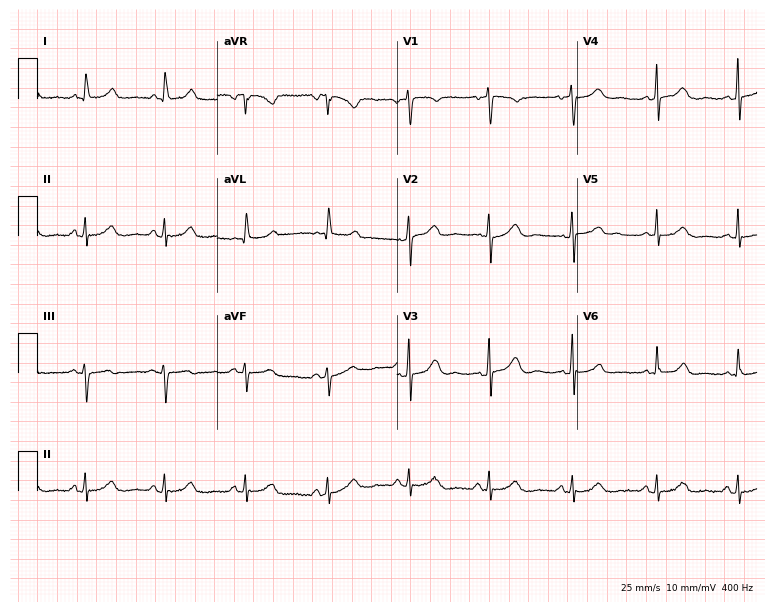
Standard 12-lead ECG recorded from a female patient, 39 years old. Read as a normal ECG.